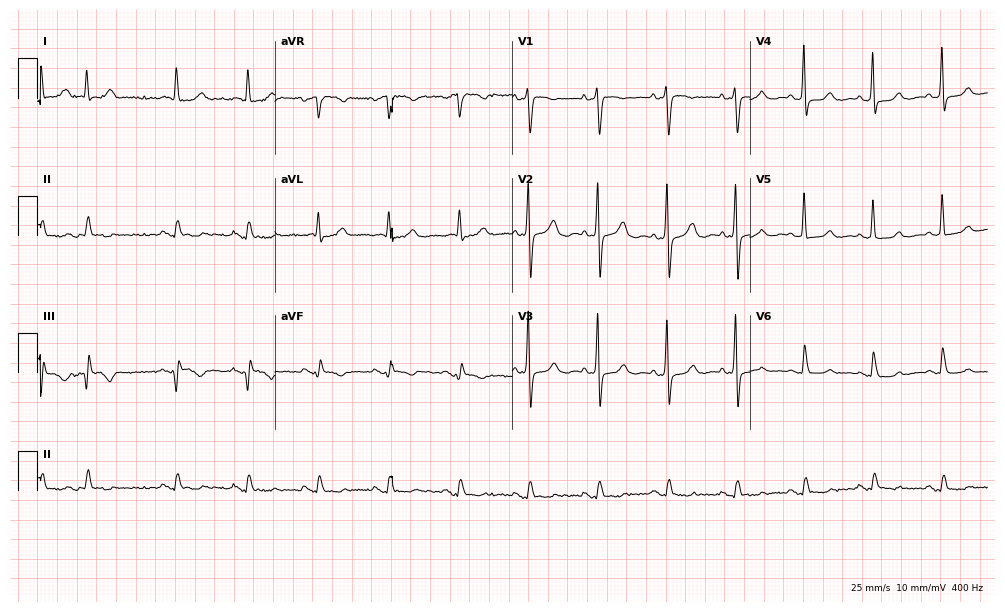
12-lead ECG from a 75-year-old female (9.7-second recording at 400 Hz). No first-degree AV block, right bundle branch block (RBBB), left bundle branch block (LBBB), sinus bradycardia, atrial fibrillation (AF) or sinus tachycardia recorded for this tracing. Other findings, if any, are not listed.